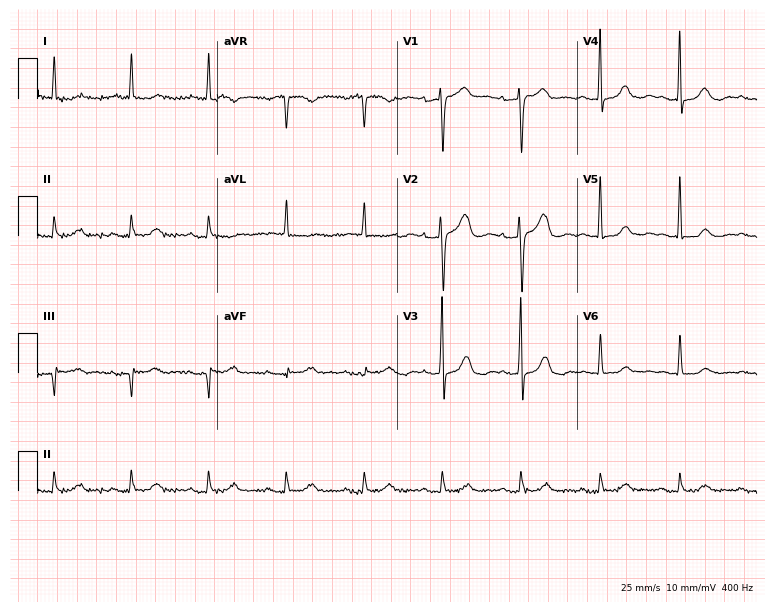
Standard 12-lead ECG recorded from a 74-year-old female (7.3-second recording at 400 Hz). None of these six findings is recorded: first-degree AV block, right bundle branch block, left bundle branch block, sinus bradycardia, atrial fibrillation, sinus tachycardia. Only these six findings were labelled.